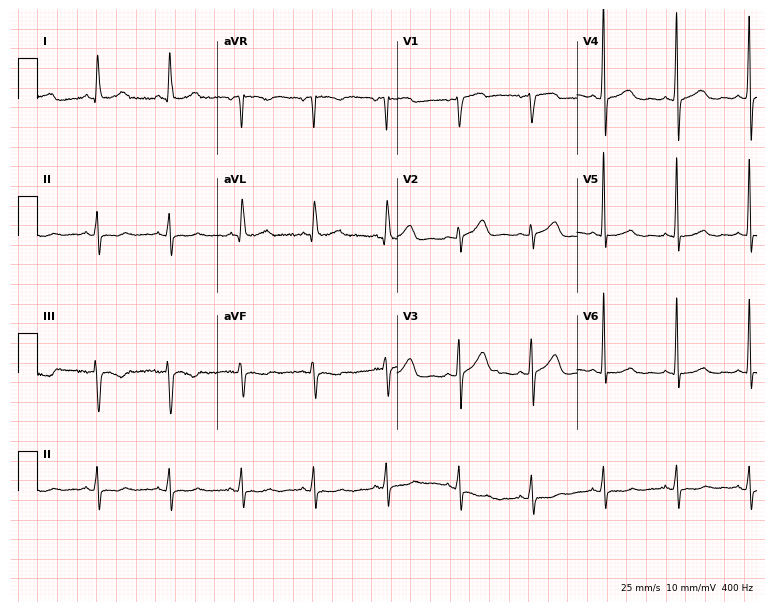
Standard 12-lead ECG recorded from a female, 62 years old. Read as a normal ECG.